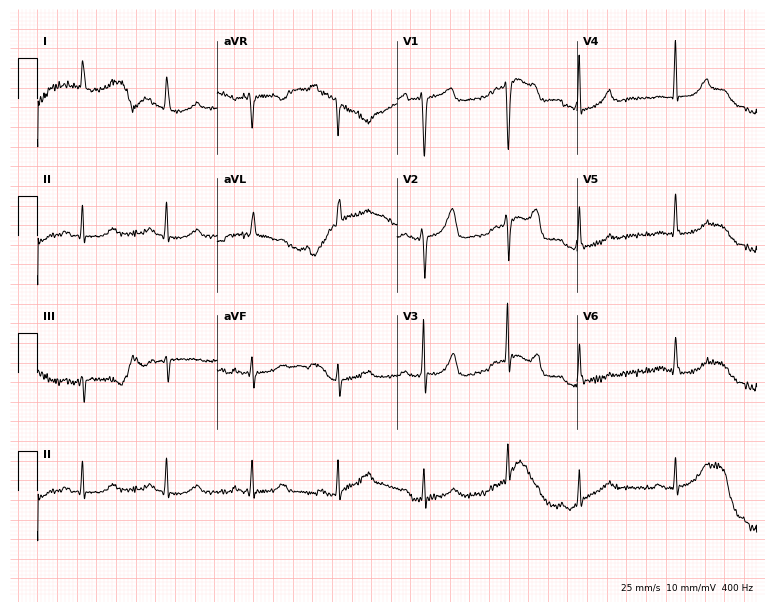
ECG — an 82-year-old woman. Screened for six findings — first-degree AV block, right bundle branch block, left bundle branch block, sinus bradycardia, atrial fibrillation, sinus tachycardia — none is recorded. Findings outside these six are not listed.